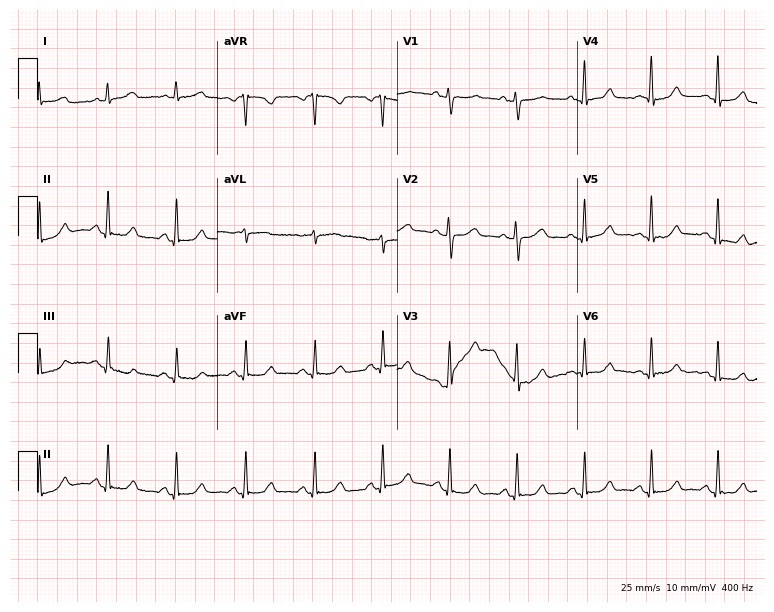
Resting 12-lead electrocardiogram. Patient: a 58-year-old female. Read as a normal ECG.